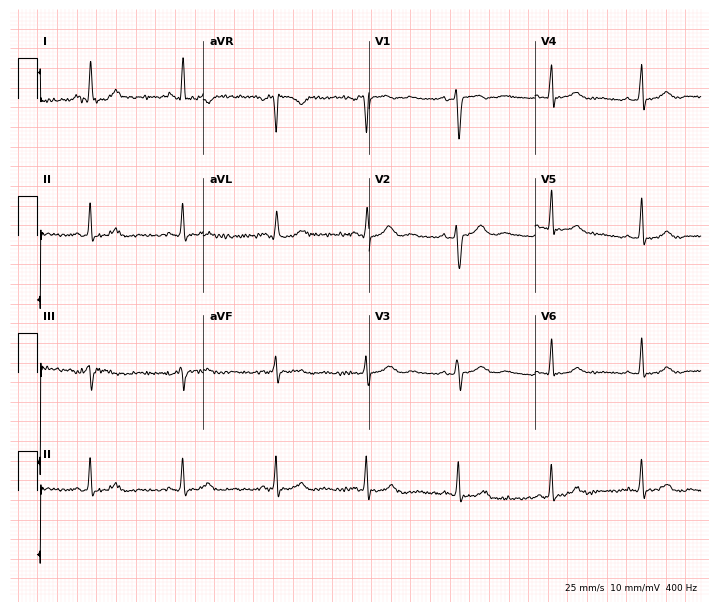
12-lead ECG from a woman, 38 years old (6.8-second recording at 400 Hz). No first-degree AV block, right bundle branch block (RBBB), left bundle branch block (LBBB), sinus bradycardia, atrial fibrillation (AF) or sinus tachycardia recorded for this tracing. Findings outside these six are not listed.